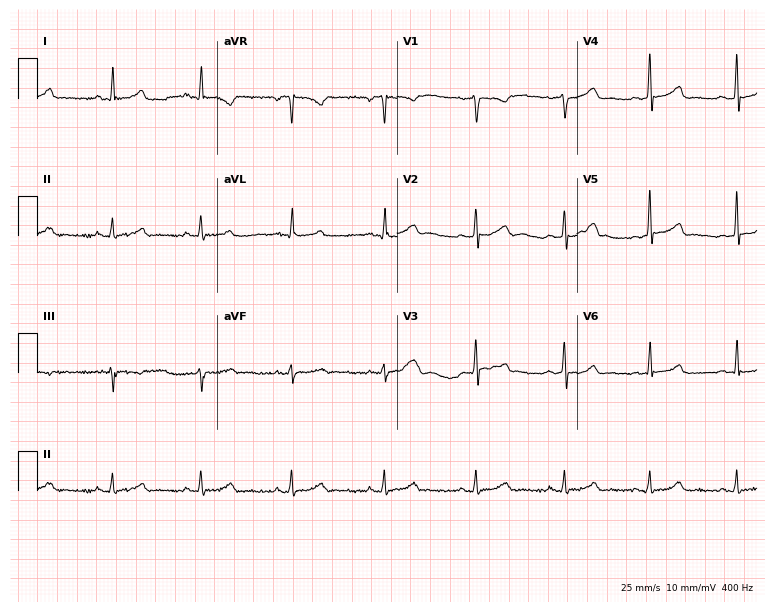
12-lead ECG (7.3-second recording at 400 Hz) from a female, 47 years old. Labelled as a normal ECG.